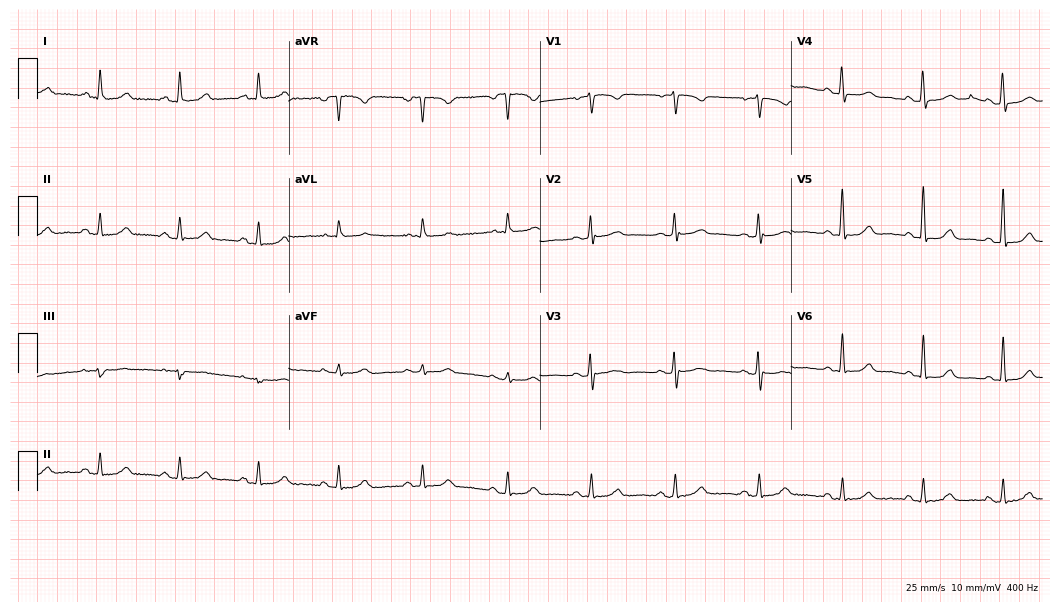
12-lead ECG from a 61-year-old woman. Recorded interpretation: within normal limits.